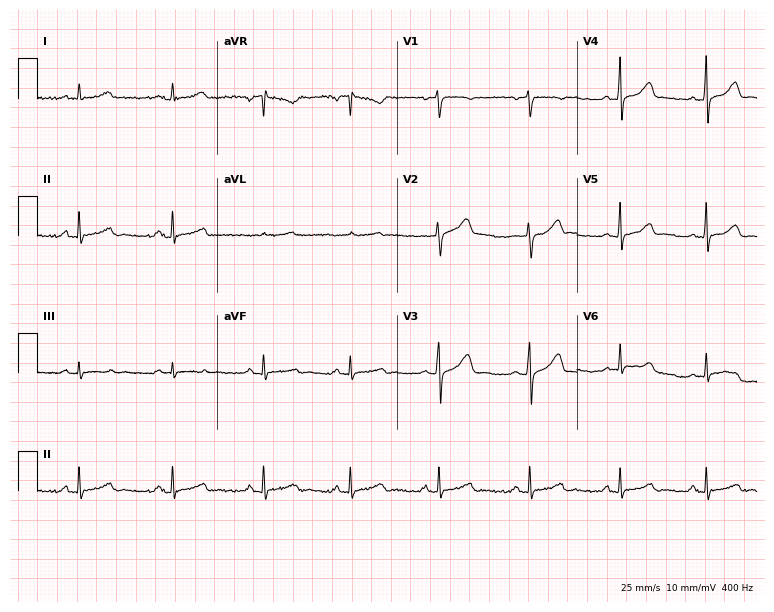
Standard 12-lead ECG recorded from a 46-year-old female (7.3-second recording at 400 Hz). Read as a normal ECG.